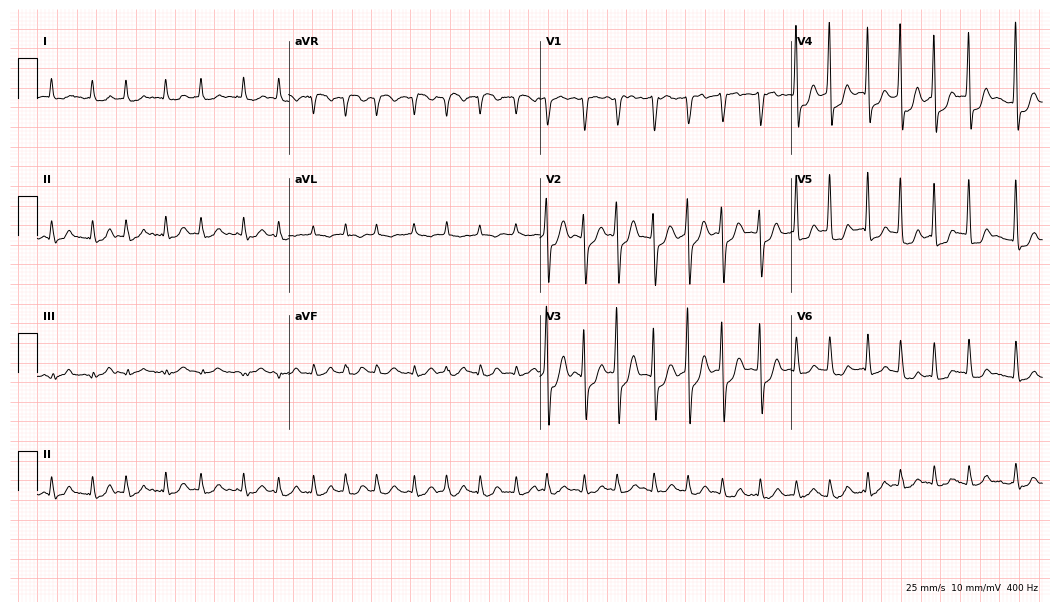
ECG (10.2-second recording at 400 Hz) — a 79-year-old man. Findings include atrial fibrillation.